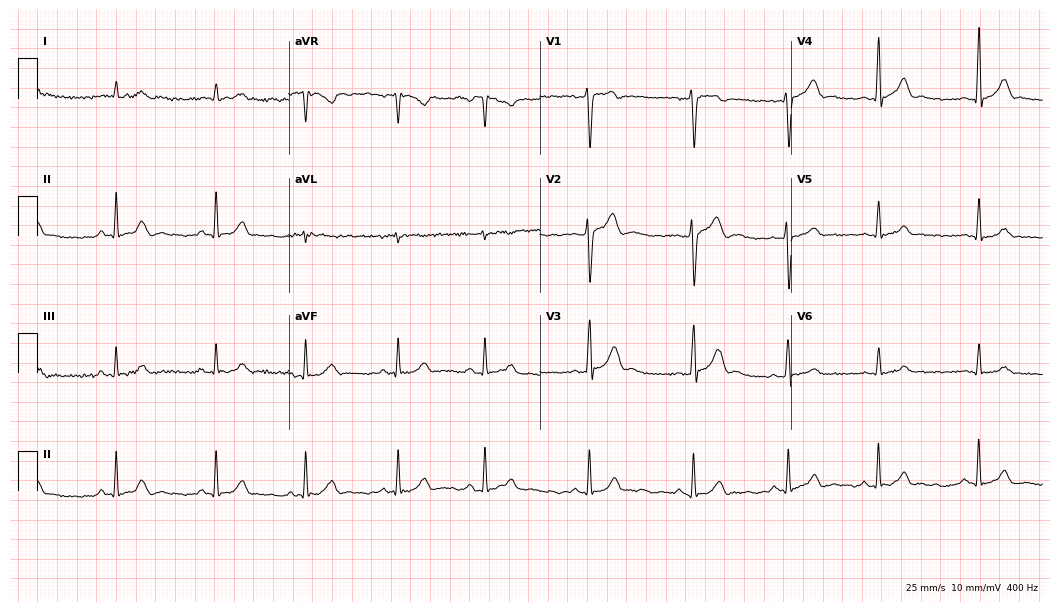
Electrocardiogram (10.2-second recording at 400 Hz), a 24-year-old male patient. Overall reading on record: normal ECG.